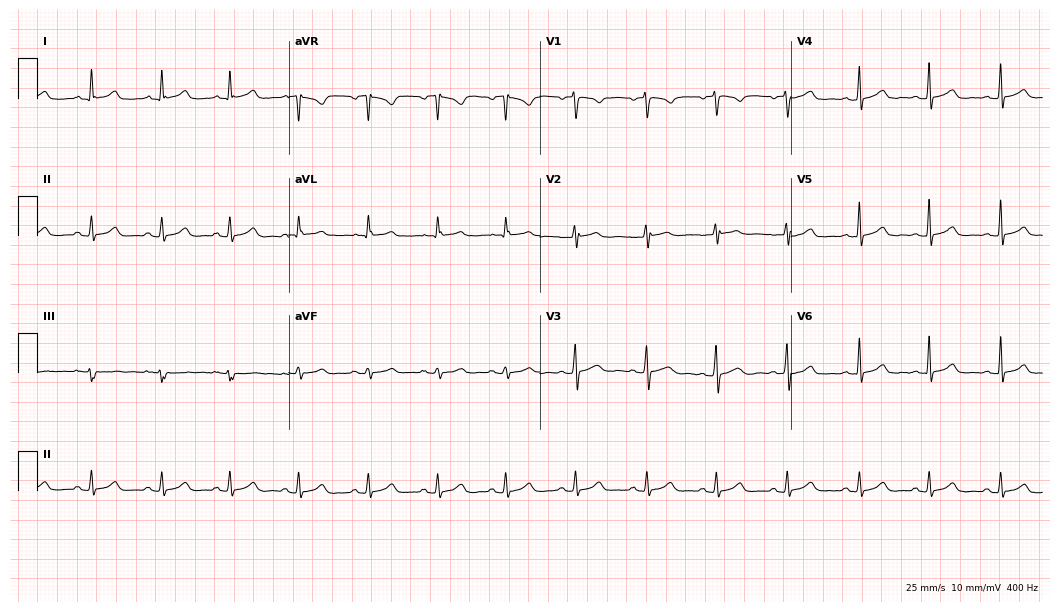
ECG — a 34-year-old woman. Screened for six findings — first-degree AV block, right bundle branch block, left bundle branch block, sinus bradycardia, atrial fibrillation, sinus tachycardia — none is recorded.